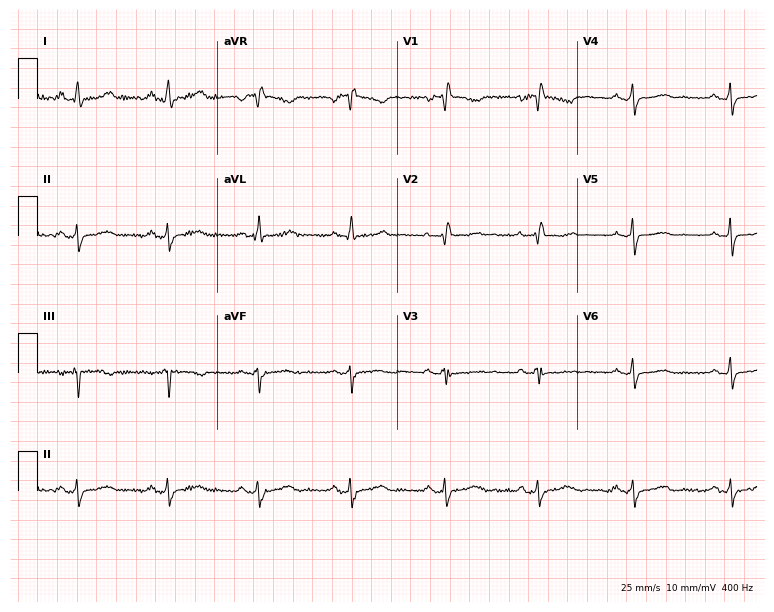
ECG — a 54-year-old female. Screened for six findings — first-degree AV block, right bundle branch block, left bundle branch block, sinus bradycardia, atrial fibrillation, sinus tachycardia — none is recorded. Findings outside these six are not listed.